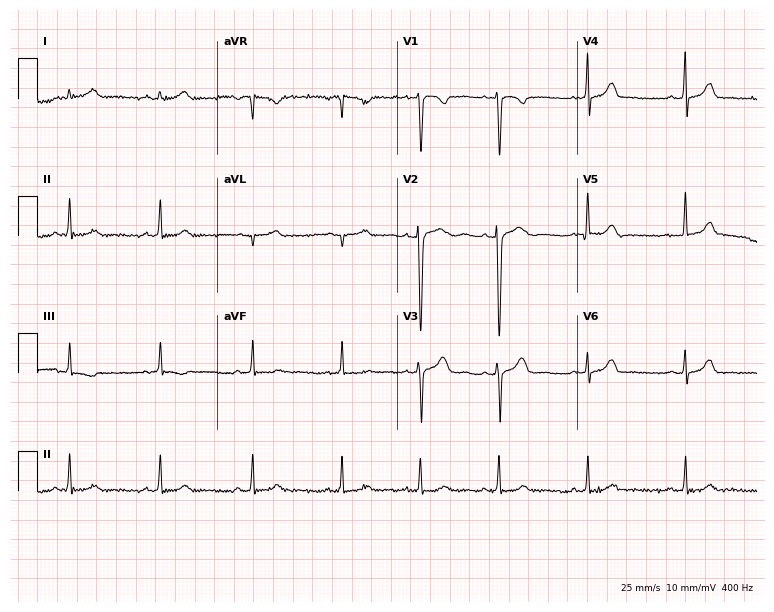
ECG — a woman, 26 years old. Screened for six findings — first-degree AV block, right bundle branch block, left bundle branch block, sinus bradycardia, atrial fibrillation, sinus tachycardia — none is recorded.